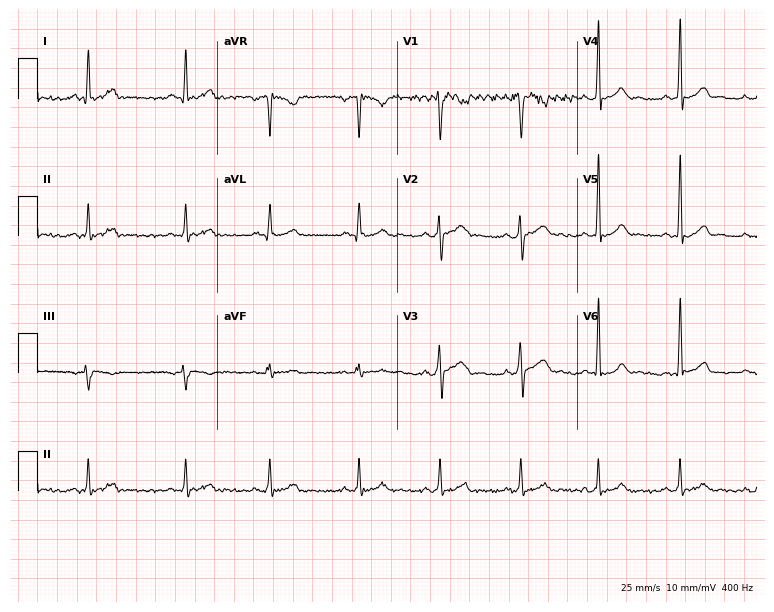
12-lead ECG from a male, 31 years old (7.3-second recording at 400 Hz). Recorded interpretation: within normal limits.